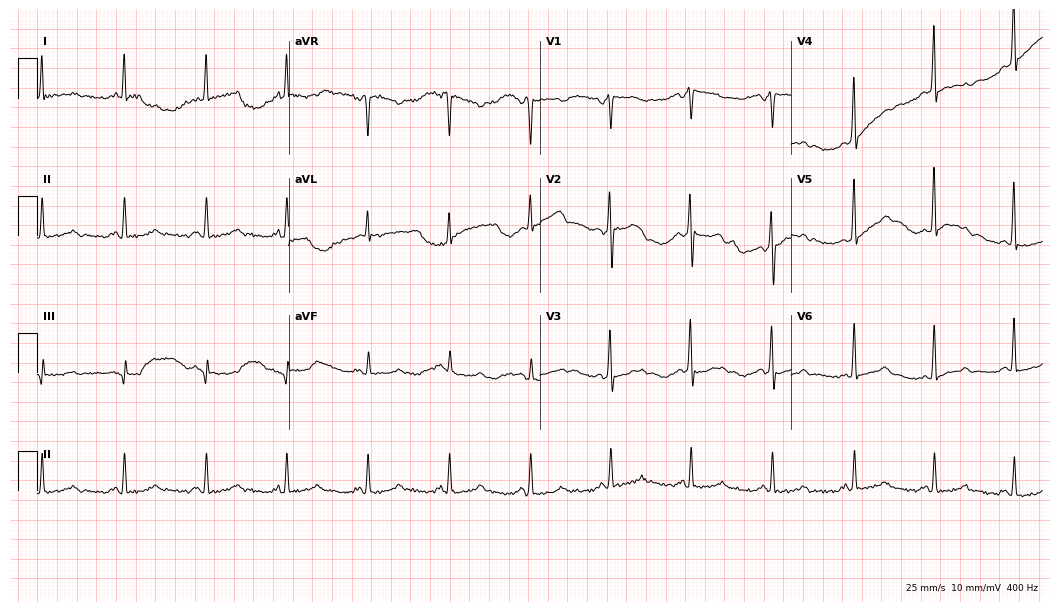
Resting 12-lead electrocardiogram (10.2-second recording at 400 Hz). Patient: a 55-year-old male. Read as a normal ECG.